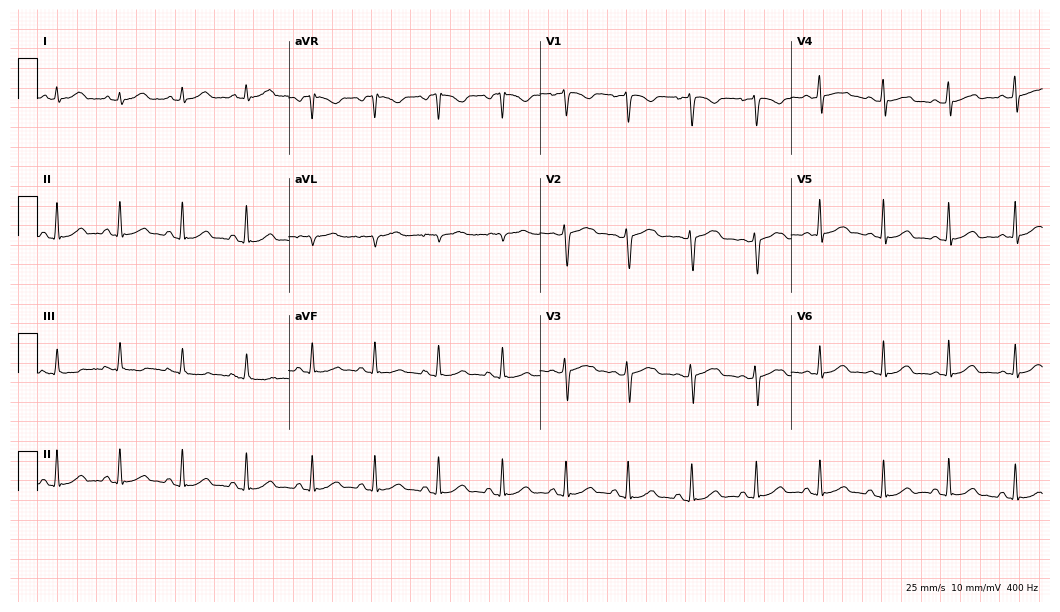
12-lead ECG from a 30-year-old female patient. Labelled as a normal ECG.